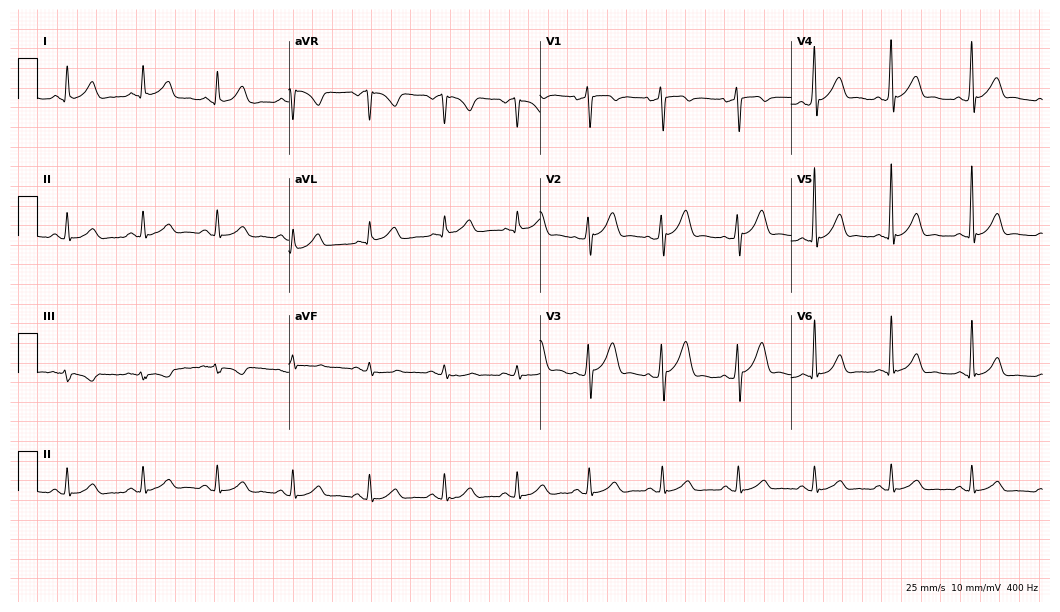
Standard 12-lead ECG recorded from a 38-year-old man. Read as a normal ECG.